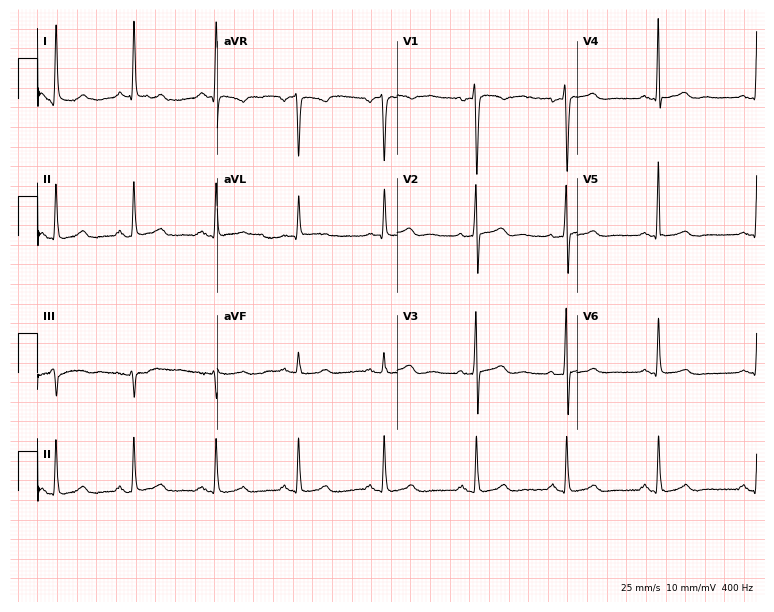
Electrocardiogram, a 43-year-old female patient. Overall reading on record: normal ECG.